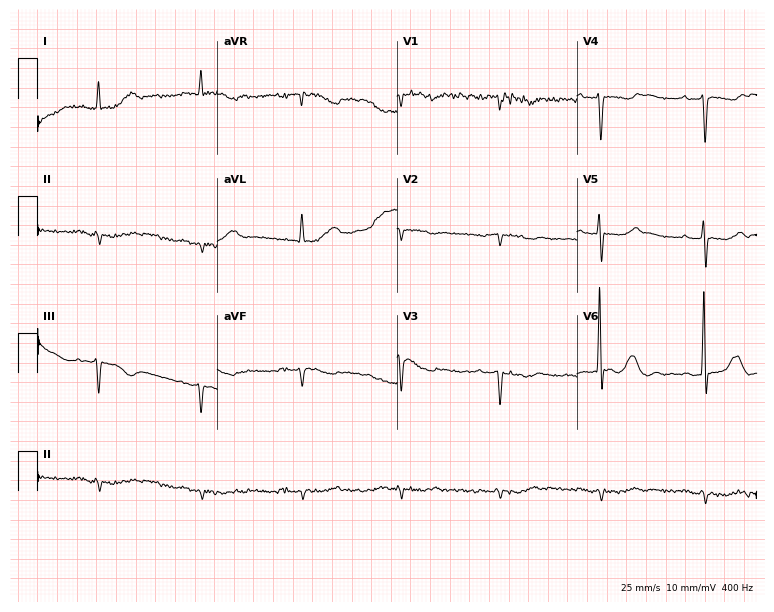
Standard 12-lead ECG recorded from a male patient, 78 years old (7.3-second recording at 400 Hz). None of these six findings is recorded: first-degree AV block, right bundle branch block, left bundle branch block, sinus bradycardia, atrial fibrillation, sinus tachycardia. Other findings, if any, are not listed.